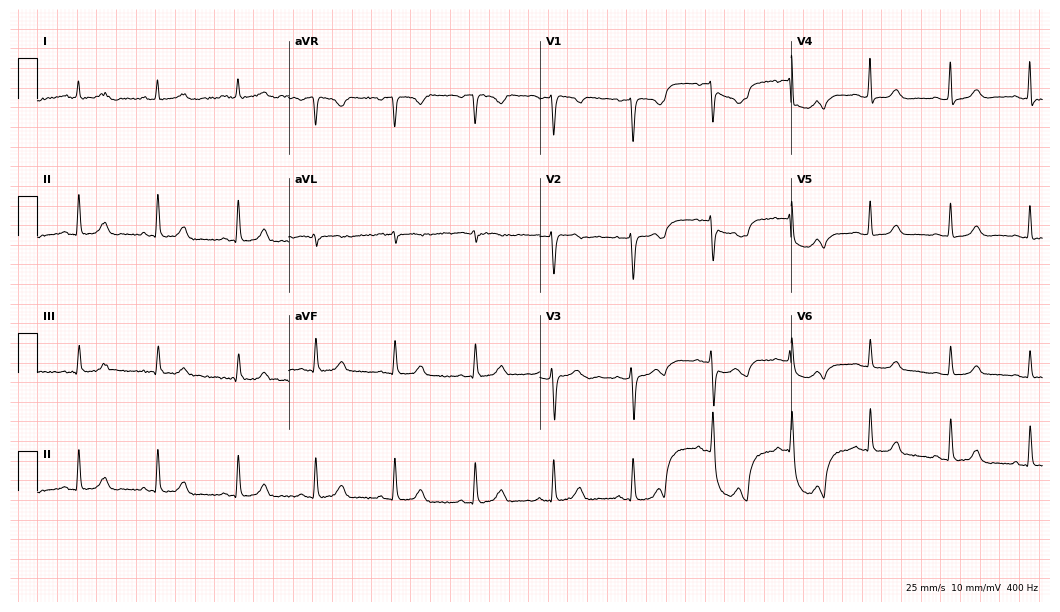
Electrocardiogram, a 37-year-old woman. Of the six screened findings (first-degree AV block, right bundle branch block (RBBB), left bundle branch block (LBBB), sinus bradycardia, atrial fibrillation (AF), sinus tachycardia), none is recorded. Other findings, if any, are not listed.